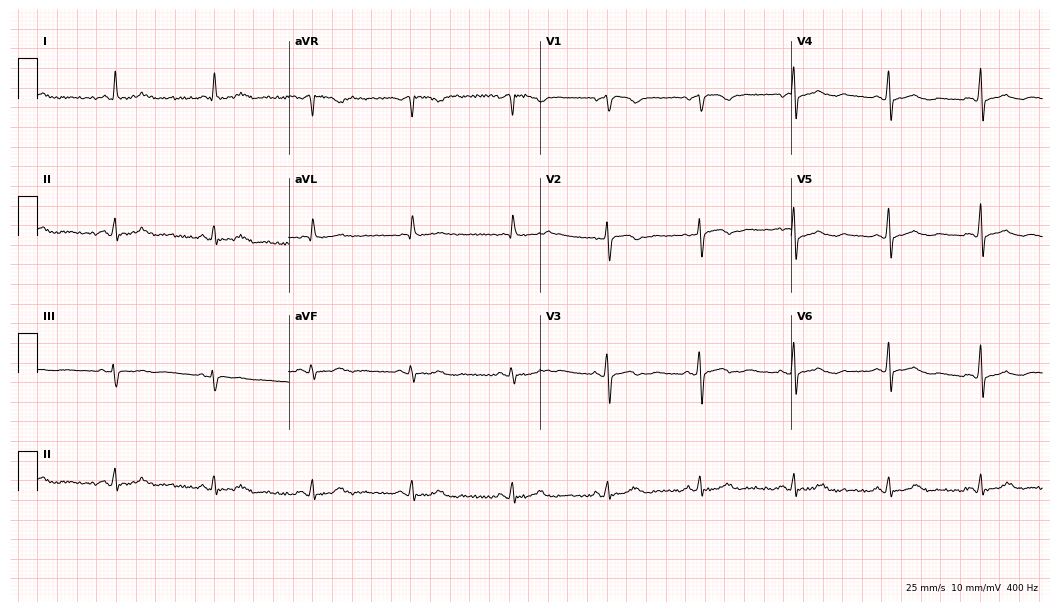
Resting 12-lead electrocardiogram (10.2-second recording at 400 Hz). Patient: a 53-year-old woman. None of these six findings is recorded: first-degree AV block, right bundle branch block, left bundle branch block, sinus bradycardia, atrial fibrillation, sinus tachycardia.